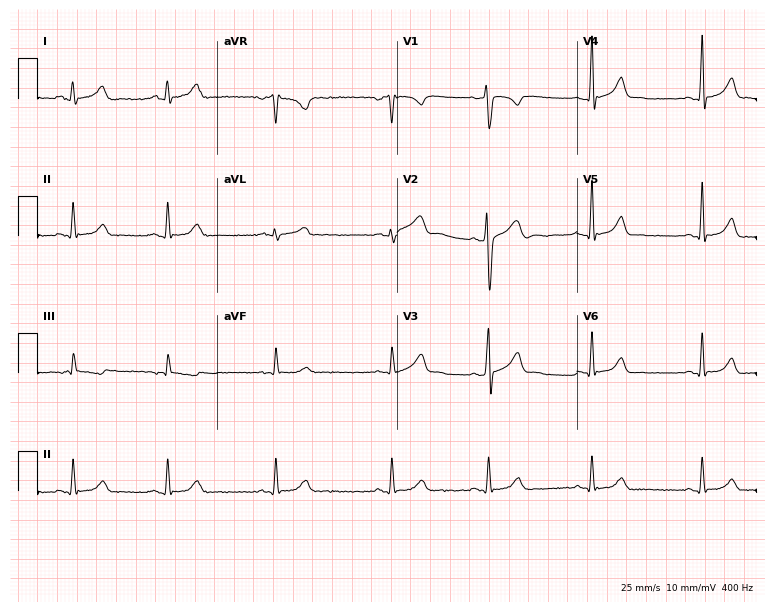
Electrocardiogram, a 31-year-old man. Of the six screened findings (first-degree AV block, right bundle branch block (RBBB), left bundle branch block (LBBB), sinus bradycardia, atrial fibrillation (AF), sinus tachycardia), none is recorded. Other findings, if any, are not listed.